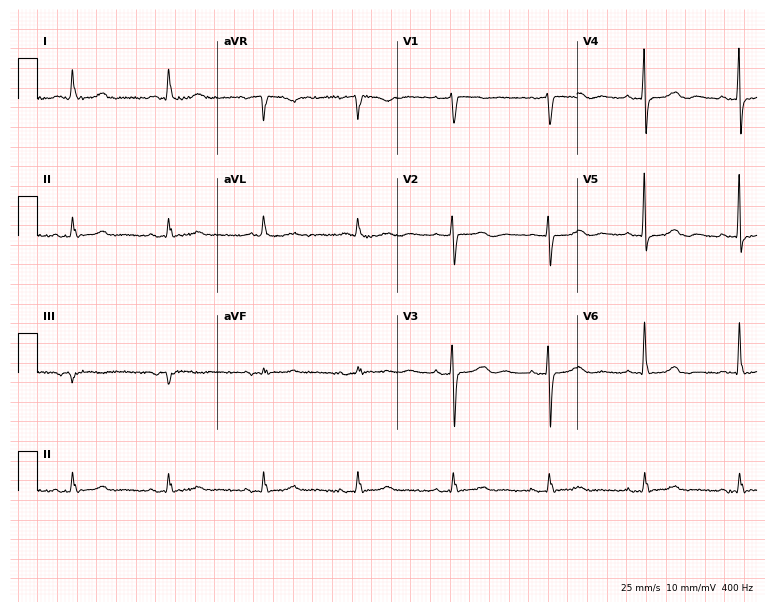
Resting 12-lead electrocardiogram (7.3-second recording at 400 Hz). Patient: a female, 81 years old. None of these six findings is recorded: first-degree AV block, right bundle branch block (RBBB), left bundle branch block (LBBB), sinus bradycardia, atrial fibrillation (AF), sinus tachycardia. Only these six findings were labelled.